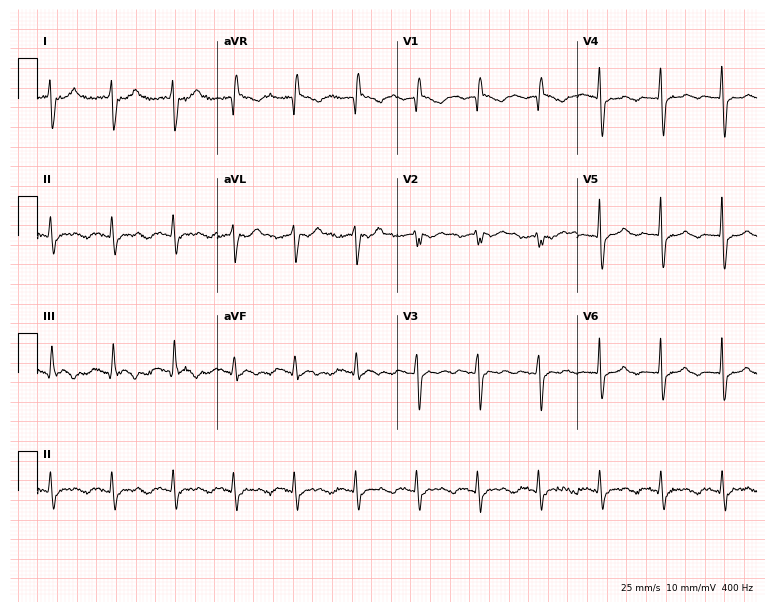
Standard 12-lead ECG recorded from a 45-year-old female patient (7.3-second recording at 400 Hz). None of these six findings is recorded: first-degree AV block, right bundle branch block (RBBB), left bundle branch block (LBBB), sinus bradycardia, atrial fibrillation (AF), sinus tachycardia. Only these six findings were labelled.